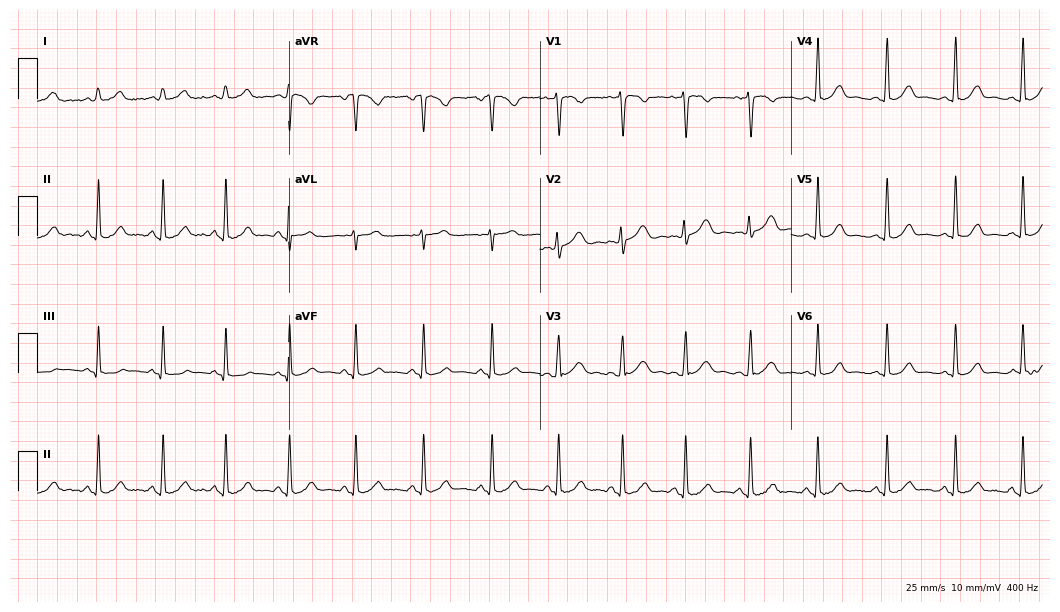
12-lead ECG (10.2-second recording at 400 Hz) from a 27-year-old woman. Labelled as a normal ECG.